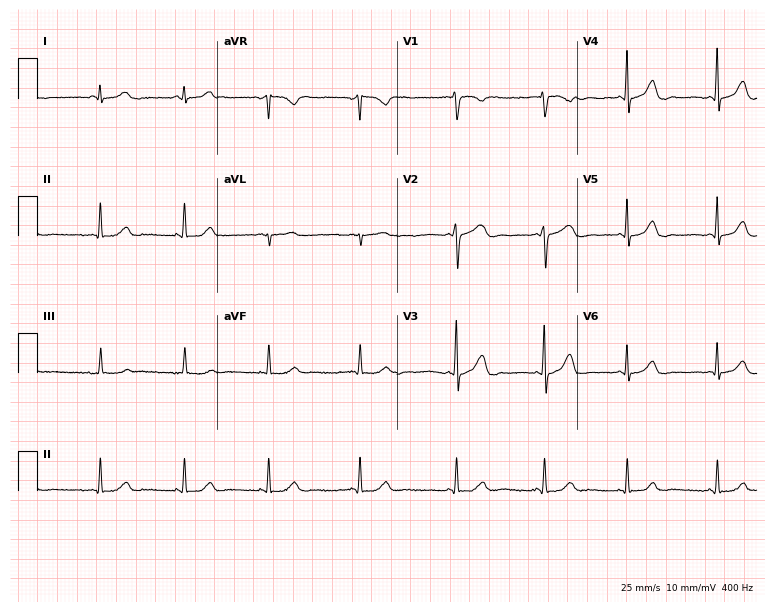
Standard 12-lead ECG recorded from a 31-year-old woman (7.3-second recording at 400 Hz). None of these six findings is recorded: first-degree AV block, right bundle branch block (RBBB), left bundle branch block (LBBB), sinus bradycardia, atrial fibrillation (AF), sinus tachycardia.